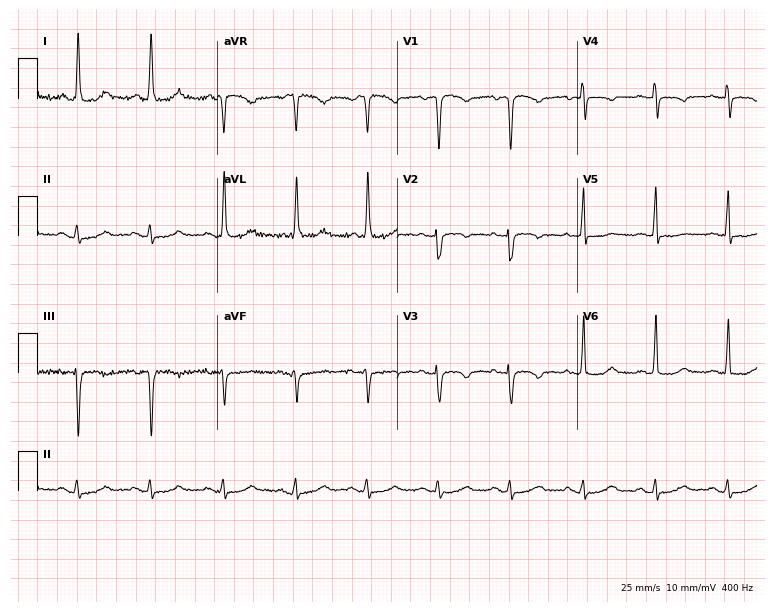
Electrocardiogram, an 80-year-old female patient. Of the six screened findings (first-degree AV block, right bundle branch block, left bundle branch block, sinus bradycardia, atrial fibrillation, sinus tachycardia), none is recorded.